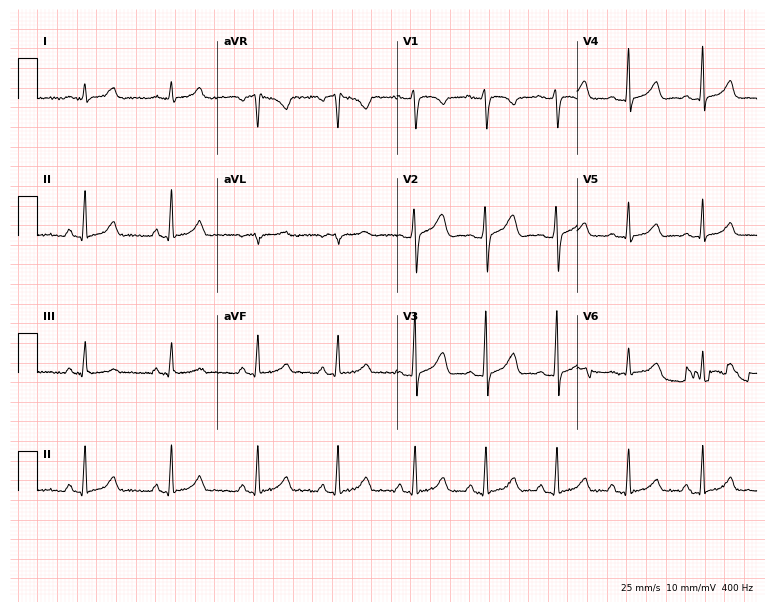
Resting 12-lead electrocardiogram (7.3-second recording at 400 Hz). Patient: a 21-year-old female. Read as a normal ECG.